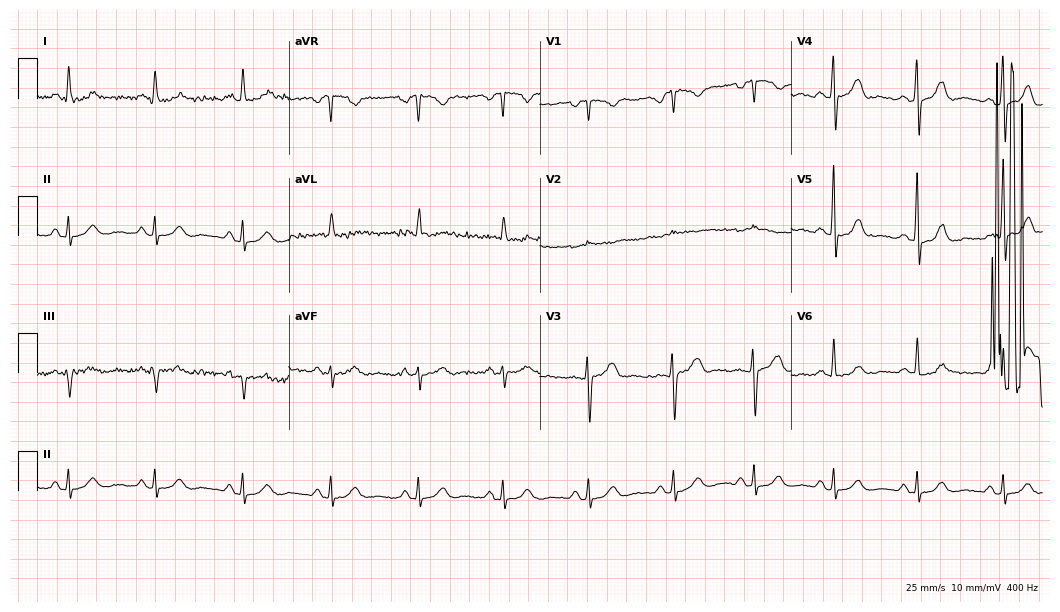
Electrocardiogram, a 69-year-old male patient. Overall reading on record: normal ECG.